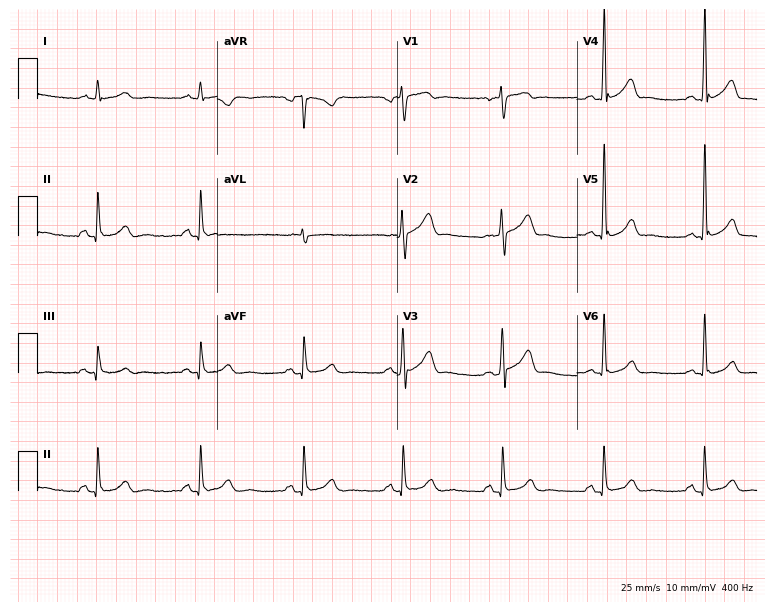
Resting 12-lead electrocardiogram (7.3-second recording at 400 Hz). Patient: a 61-year-old male. Read as a normal ECG.